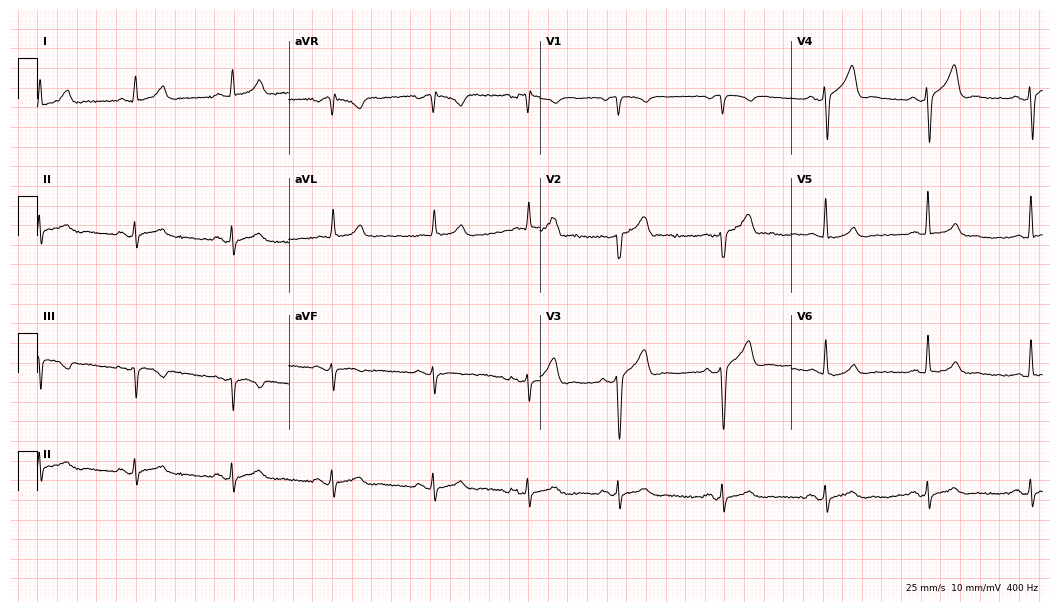
Standard 12-lead ECG recorded from a 60-year-old male. Read as a normal ECG.